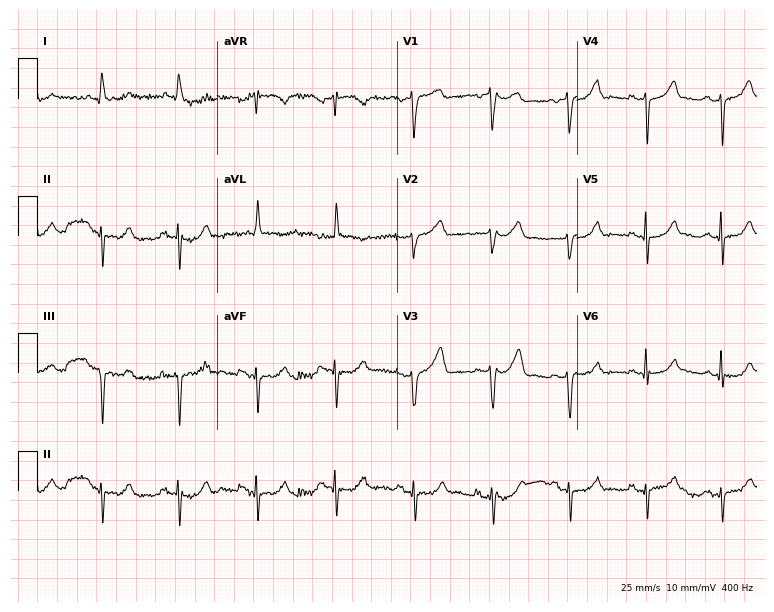
Electrocardiogram (7.3-second recording at 400 Hz), a woman, 80 years old. Of the six screened findings (first-degree AV block, right bundle branch block, left bundle branch block, sinus bradycardia, atrial fibrillation, sinus tachycardia), none is recorded. Findings outside these six are not listed.